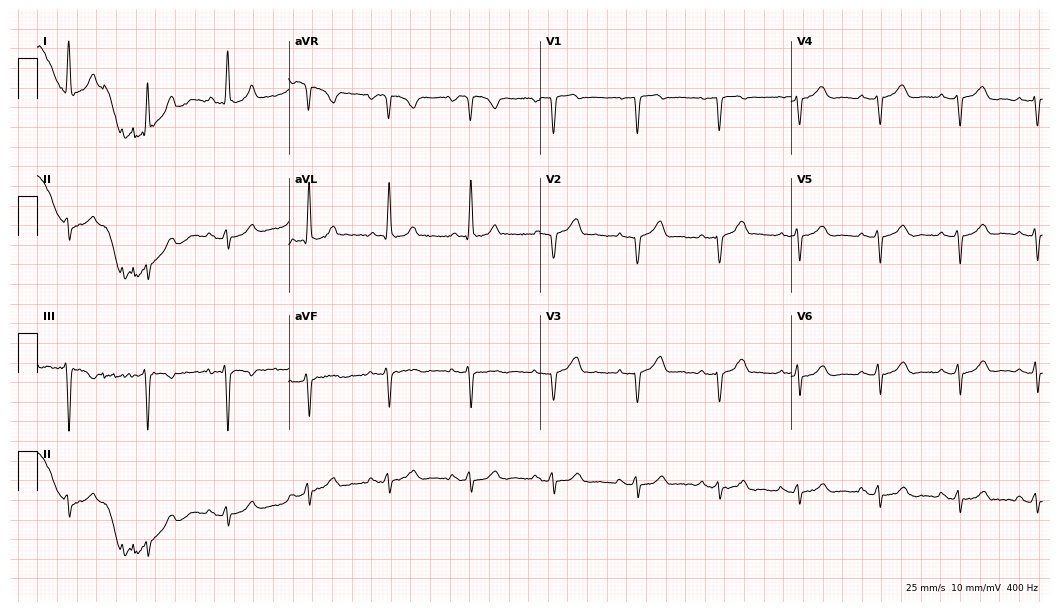
Resting 12-lead electrocardiogram. Patient: a woman, 39 years old. None of these six findings is recorded: first-degree AV block, right bundle branch block (RBBB), left bundle branch block (LBBB), sinus bradycardia, atrial fibrillation (AF), sinus tachycardia. Only these six findings were labelled.